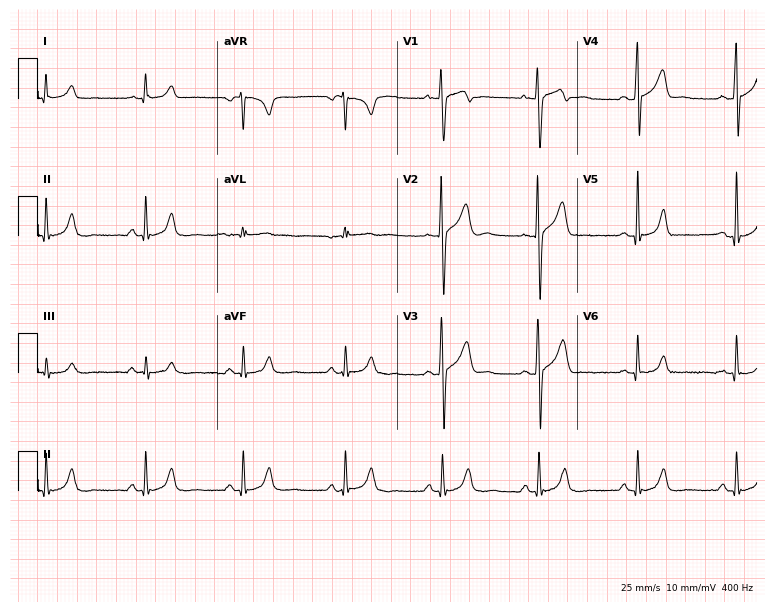
Standard 12-lead ECG recorded from a 26-year-old male. None of these six findings is recorded: first-degree AV block, right bundle branch block, left bundle branch block, sinus bradycardia, atrial fibrillation, sinus tachycardia. Other findings, if any, are not listed.